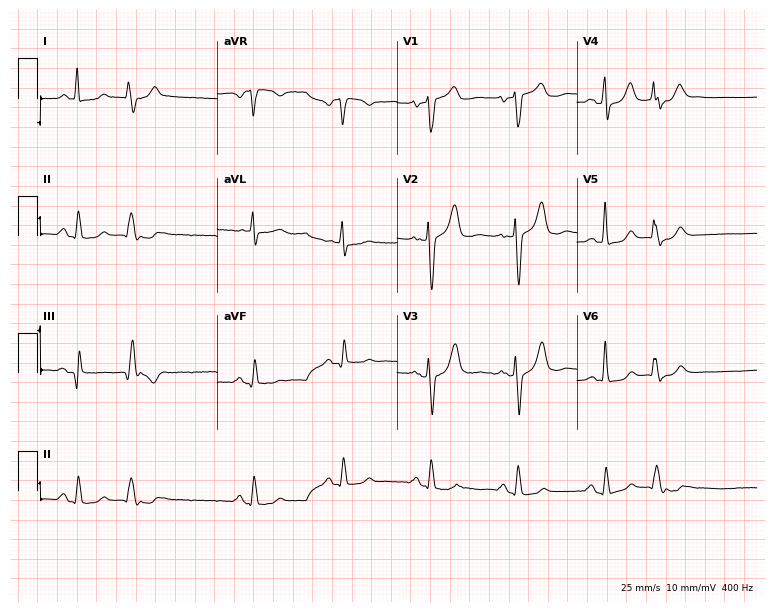
Standard 12-lead ECG recorded from an 83-year-old male. None of these six findings is recorded: first-degree AV block, right bundle branch block (RBBB), left bundle branch block (LBBB), sinus bradycardia, atrial fibrillation (AF), sinus tachycardia.